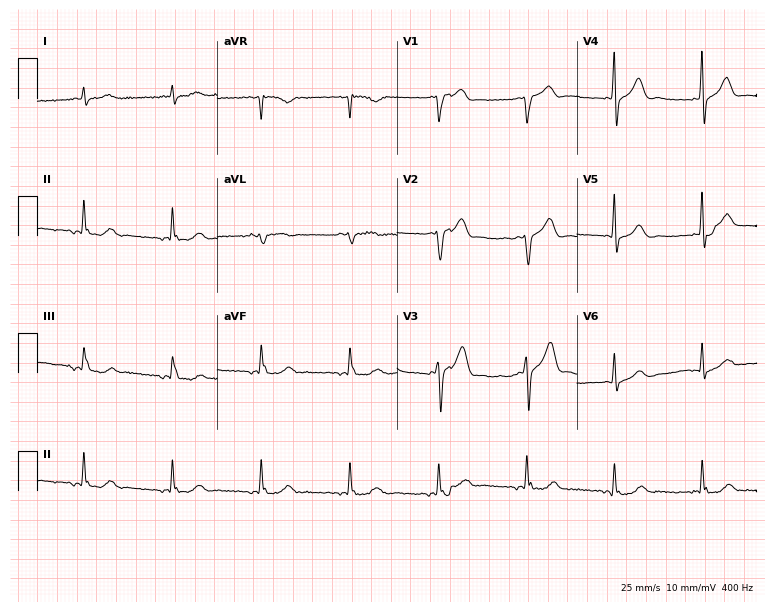
12-lead ECG from a 67-year-old male patient (7.3-second recording at 400 Hz). No first-degree AV block, right bundle branch block (RBBB), left bundle branch block (LBBB), sinus bradycardia, atrial fibrillation (AF) or sinus tachycardia recorded for this tracing. Findings outside these six are not listed.